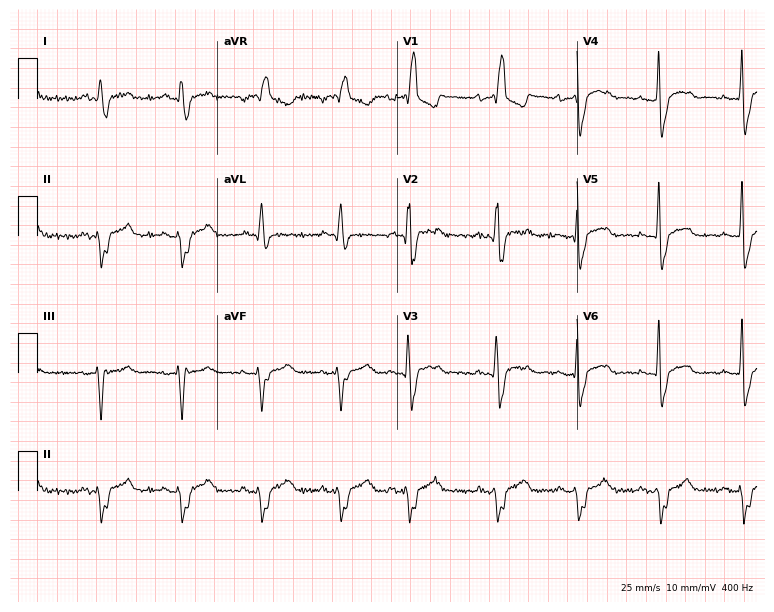
Electrocardiogram, a male, 45 years old. Interpretation includes right bundle branch block.